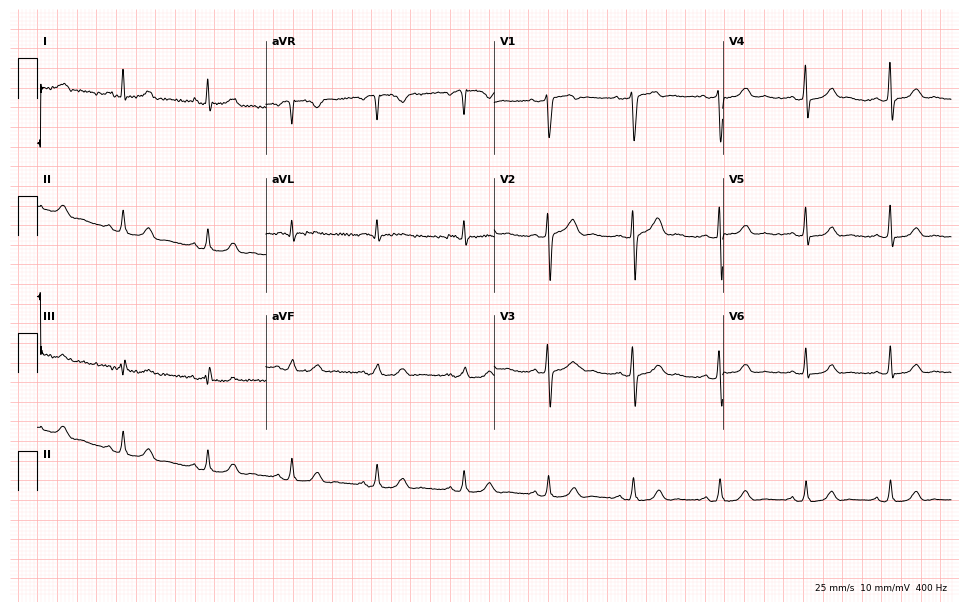
12-lead ECG (9.3-second recording at 400 Hz) from a male patient, 39 years old. Screened for six findings — first-degree AV block, right bundle branch block, left bundle branch block, sinus bradycardia, atrial fibrillation, sinus tachycardia — none is recorded.